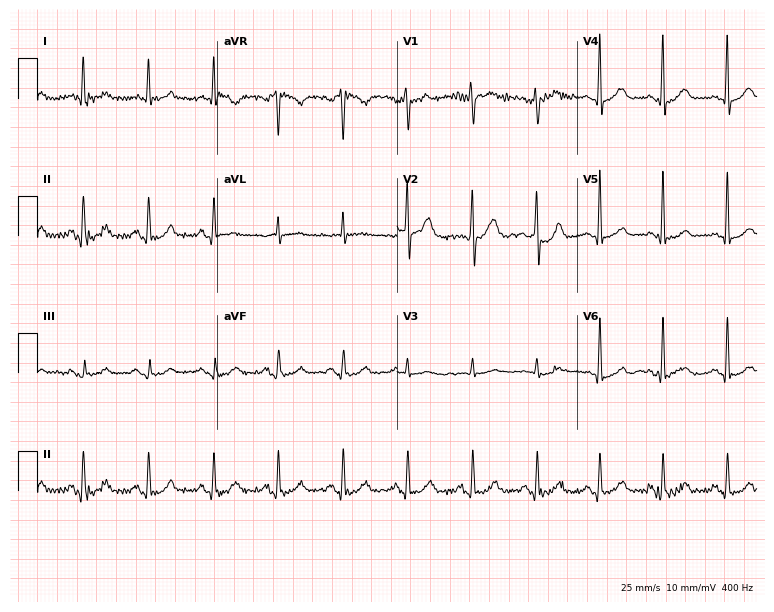
12-lead ECG (7.3-second recording at 400 Hz) from a male patient, 59 years old. Screened for six findings — first-degree AV block, right bundle branch block, left bundle branch block, sinus bradycardia, atrial fibrillation, sinus tachycardia — none is recorded. Other findings, if any, are not listed.